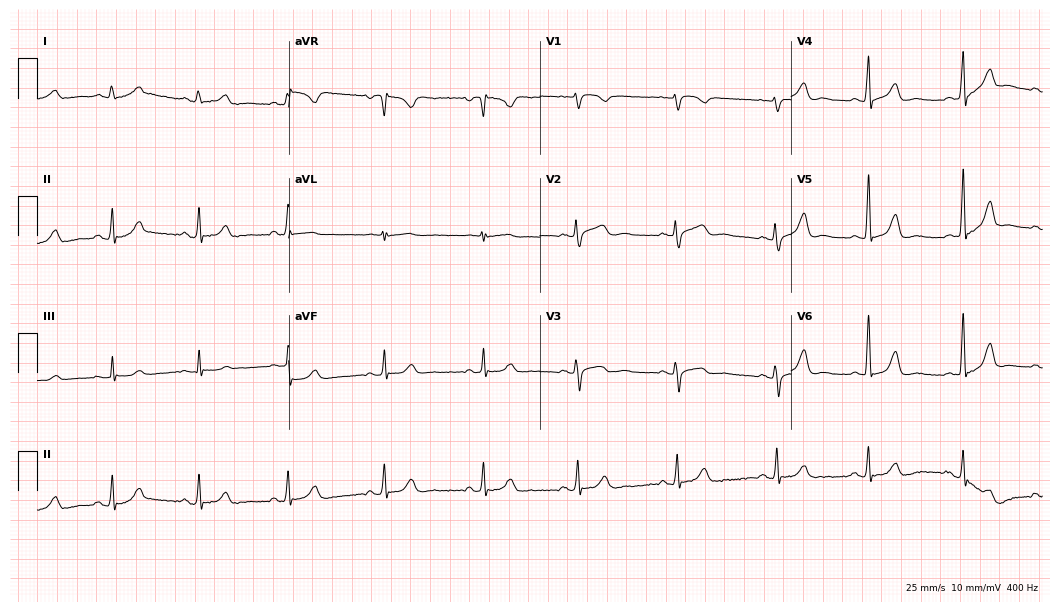
ECG — a 39-year-old female. Labelled as a normal ECG.